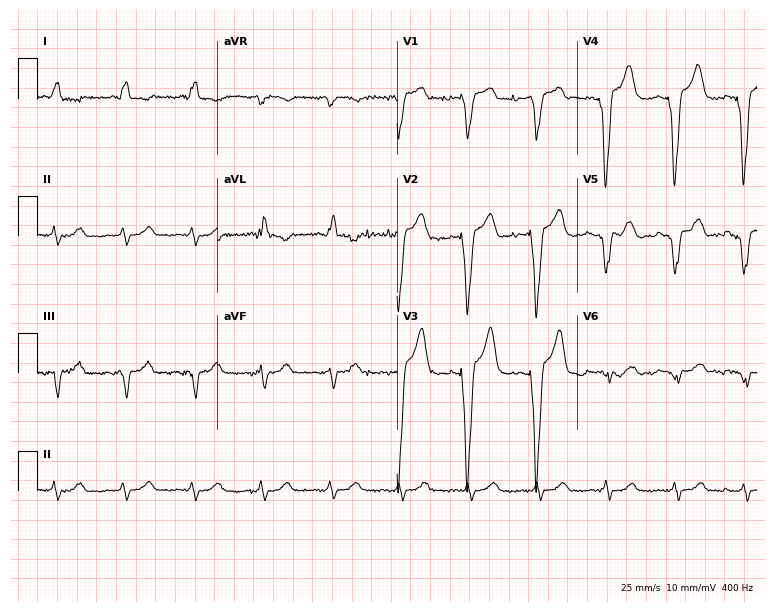
12-lead ECG from a 76-year-old woman. Findings include left bundle branch block (LBBB).